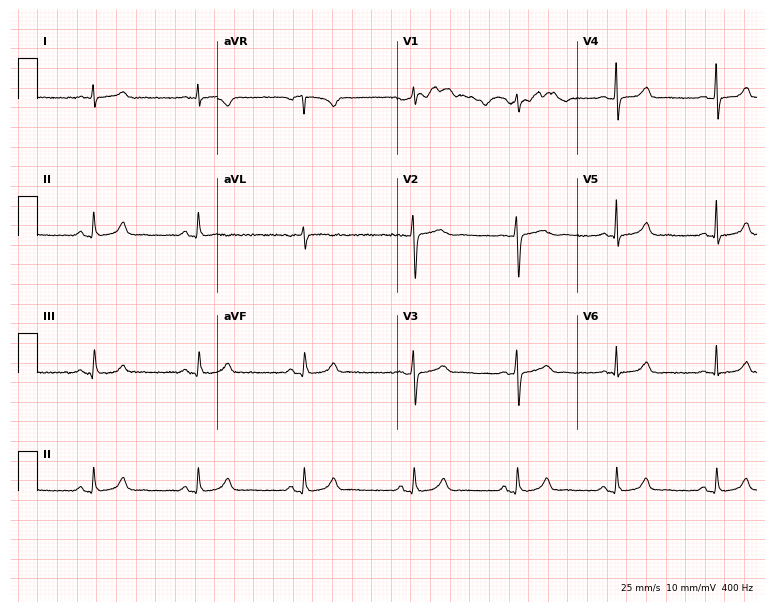
Electrocardiogram (7.3-second recording at 400 Hz), a female patient, 34 years old. Overall reading on record: normal ECG.